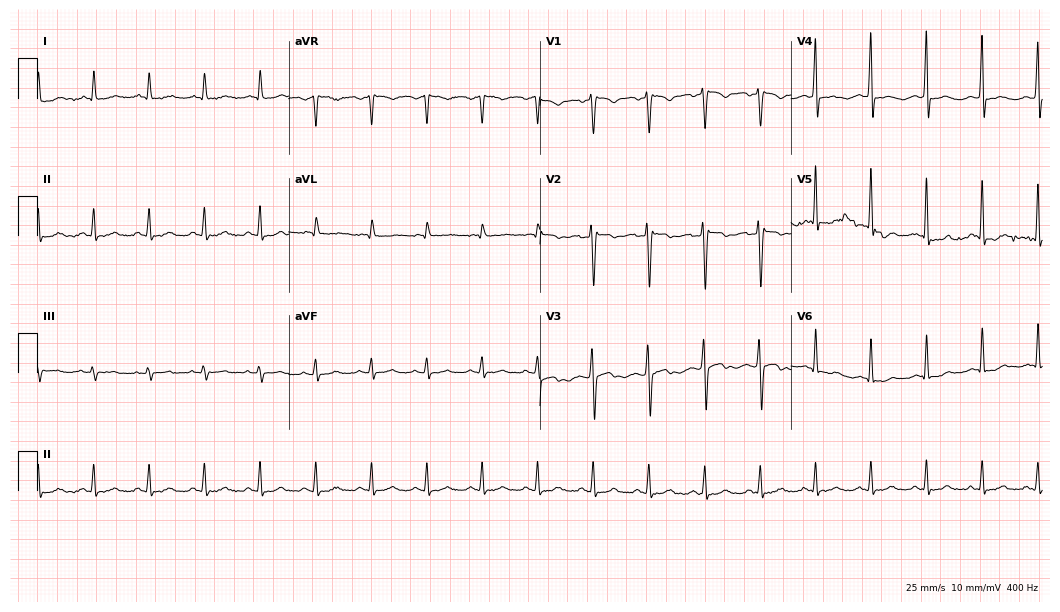
ECG — a 66-year-old female patient. Findings include sinus tachycardia (a sinus rate of 100 beats per minute or more).